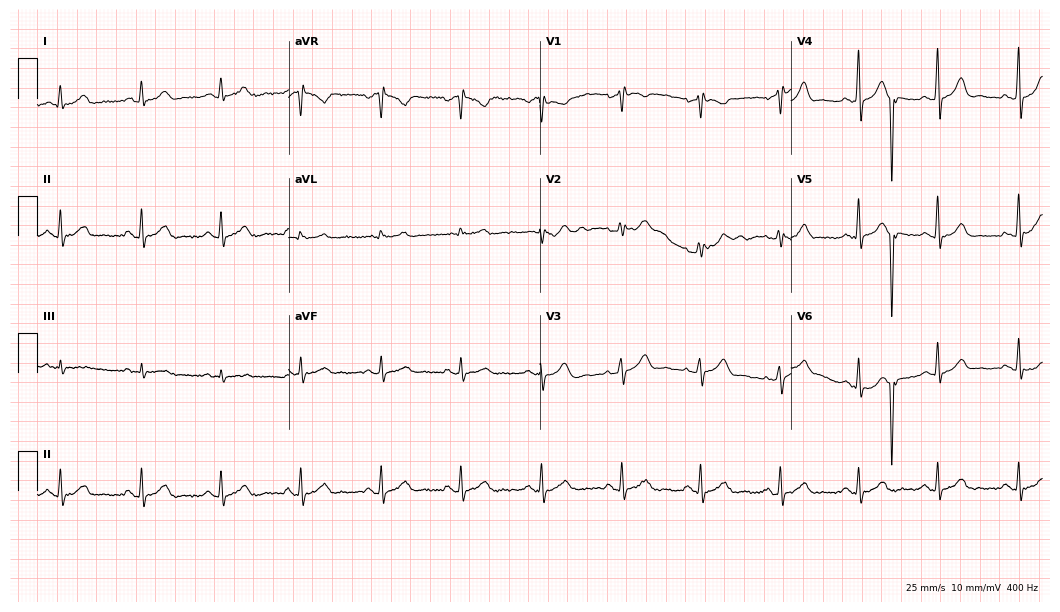
12-lead ECG from a 48-year-old man (10.2-second recording at 400 Hz). Recorded interpretation: within normal limits.